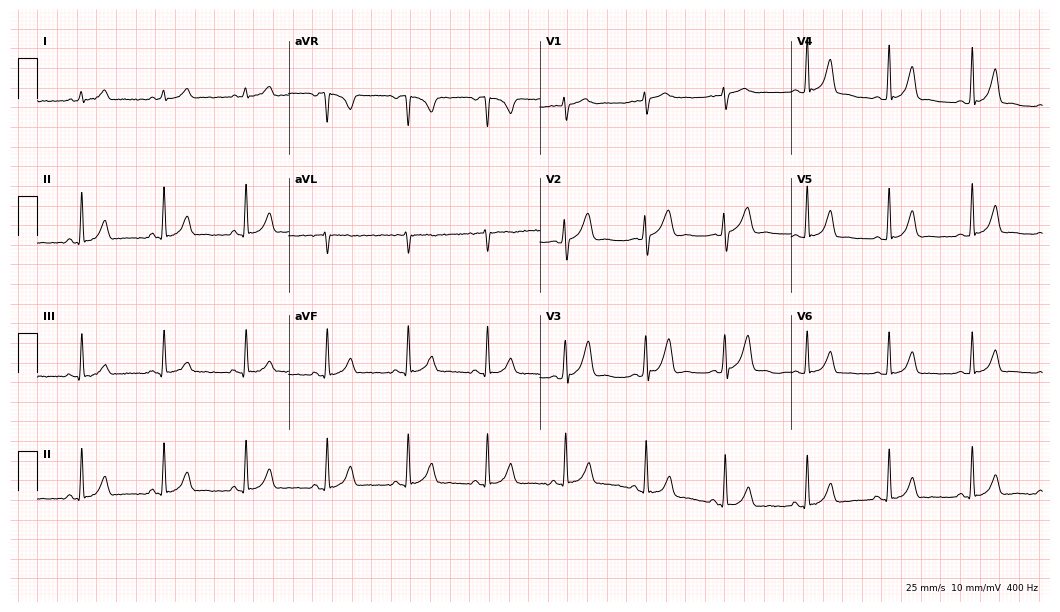
ECG (10.2-second recording at 400 Hz) — a 25-year-old woman. Labelled as a normal ECG.